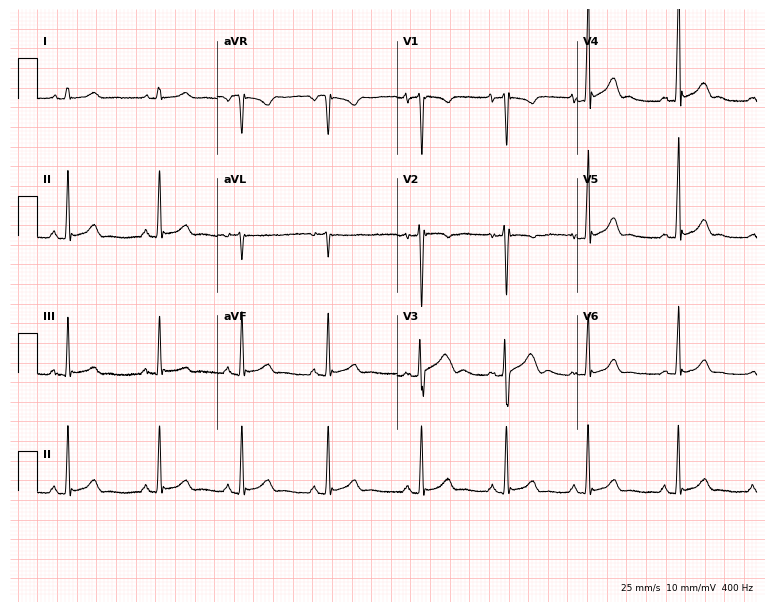
12-lead ECG from a 20-year-old male patient (7.3-second recording at 400 Hz). Recorded interpretation: within normal limits.